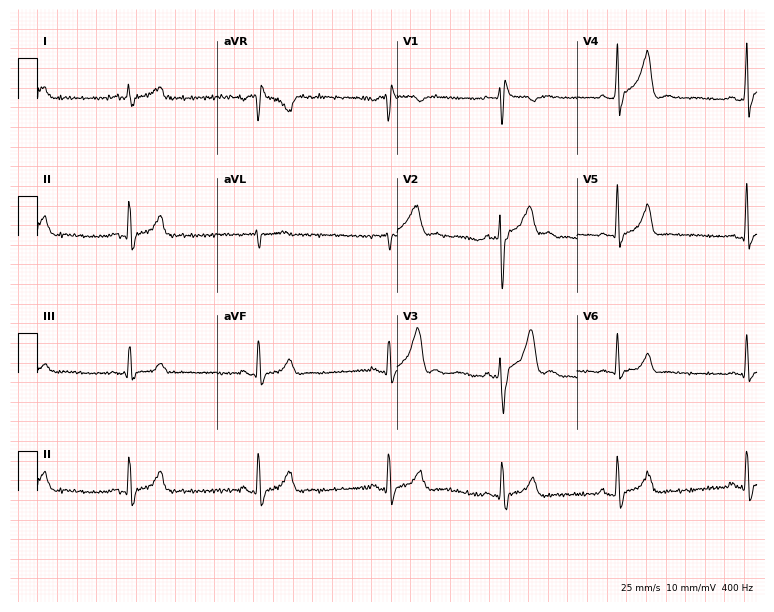
Standard 12-lead ECG recorded from a man, 32 years old (7.3-second recording at 400 Hz). The tracing shows sinus bradycardia (a sinus rate of 50 beats per minute or less).